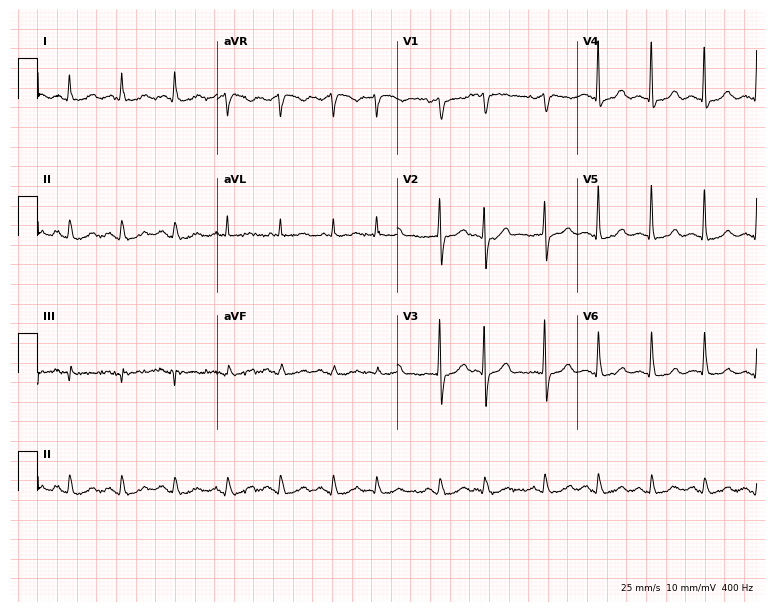
ECG (7.3-second recording at 400 Hz) — a 74-year-old female. Findings include sinus tachycardia (a sinus rate of 100 beats per minute or more).